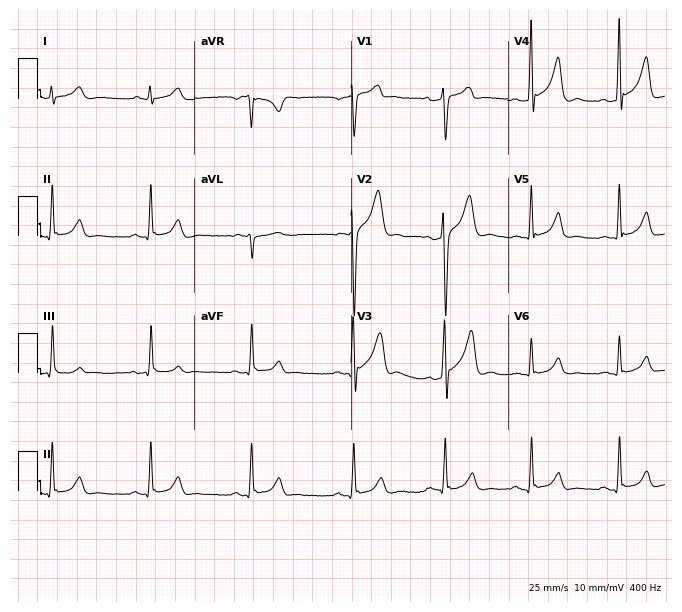
12-lead ECG from a male patient, 45 years old. No first-degree AV block, right bundle branch block, left bundle branch block, sinus bradycardia, atrial fibrillation or sinus tachycardia recorded for this tracing. Findings outside these six are not listed.